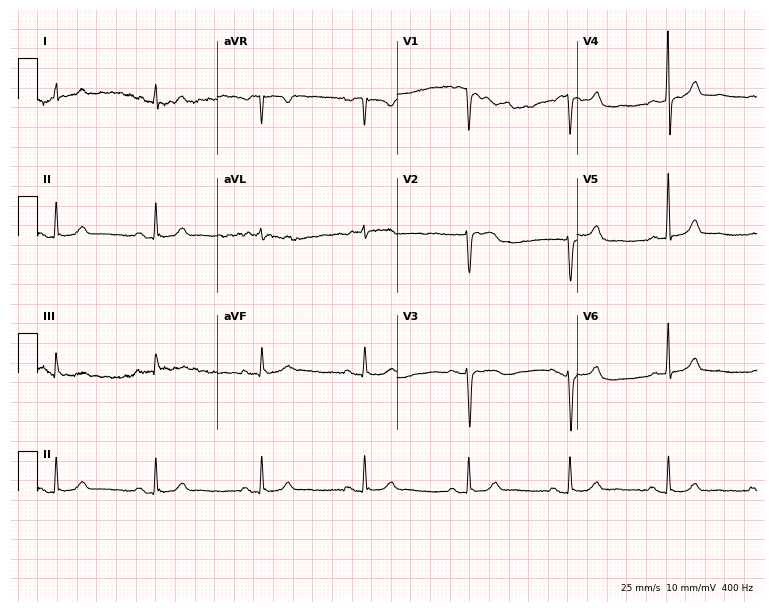
12-lead ECG (7.3-second recording at 400 Hz) from a 53-year-old woman. Screened for six findings — first-degree AV block, right bundle branch block, left bundle branch block, sinus bradycardia, atrial fibrillation, sinus tachycardia — none is recorded. Only these six findings were labelled.